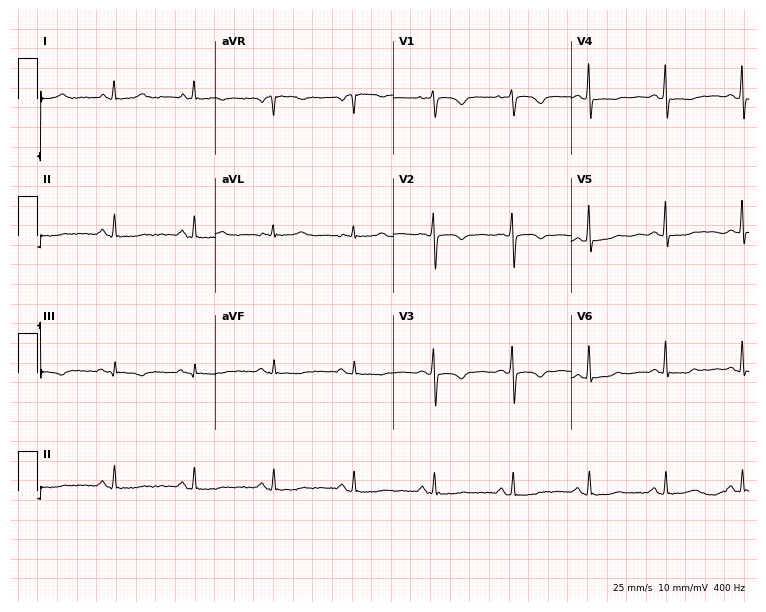
Electrocardiogram, a 50-year-old woman. Of the six screened findings (first-degree AV block, right bundle branch block (RBBB), left bundle branch block (LBBB), sinus bradycardia, atrial fibrillation (AF), sinus tachycardia), none is recorded.